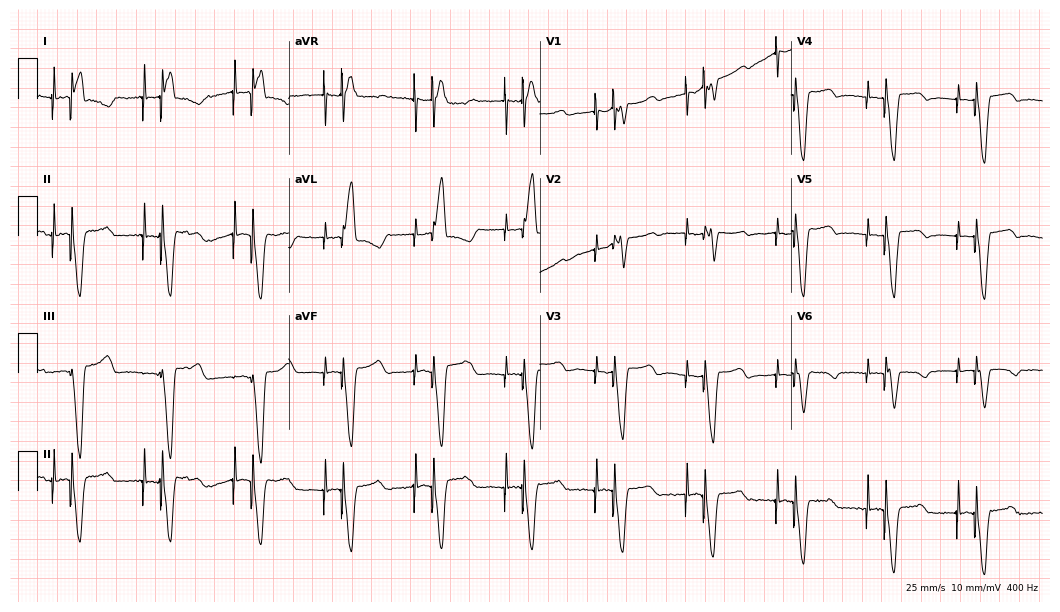
12-lead ECG from an 81-year-old female (10.2-second recording at 400 Hz). No first-degree AV block, right bundle branch block, left bundle branch block, sinus bradycardia, atrial fibrillation or sinus tachycardia recorded for this tracing. Other findings, if any, are not listed.